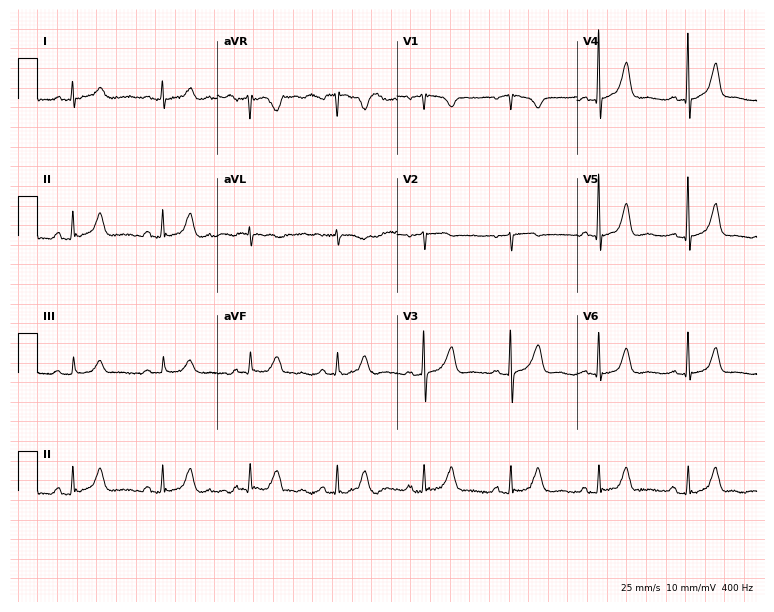
12-lead ECG from a female, 62 years old. Screened for six findings — first-degree AV block, right bundle branch block, left bundle branch block, sinus bradycardia, atrial fibrillation, sinus tachycardia — none is recorded.